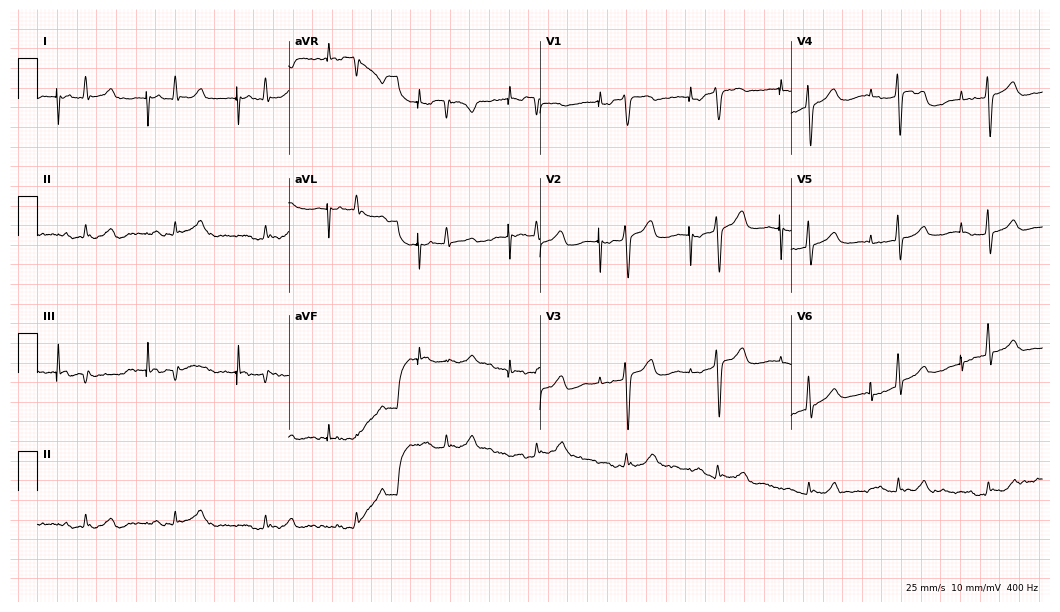
Standard 12-lead ECG recorded from a man, 69 years old (10.2-second recording at 400 Hz). None of these six findings is recorded: first-degree AV block, right bundle branch block, left bundle branch block, sinus bradycardia, atrial fibrillation, sinus tachycardia. Other findings, if any, are not listed.